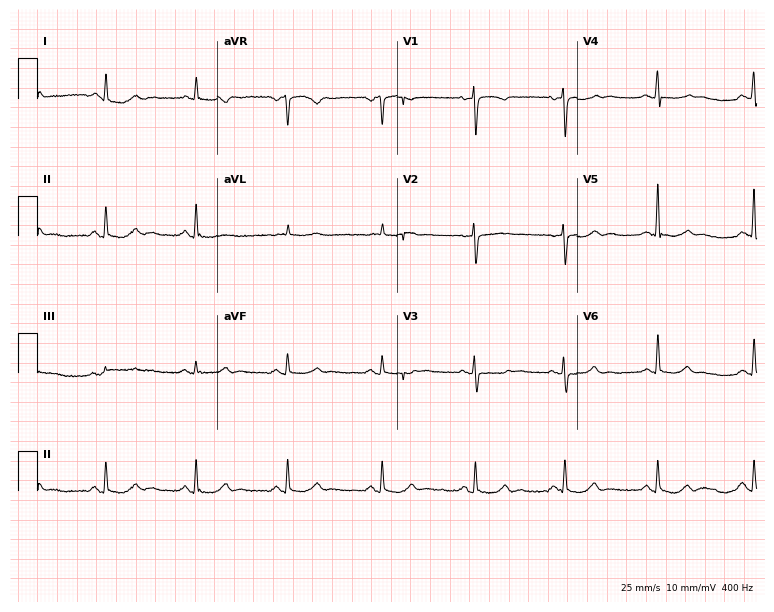
Resting 12-lead electrocardiogram (7.3-second recording at 400 Hz). Patient: a 64-year-old woman. Read as a normal ECG.